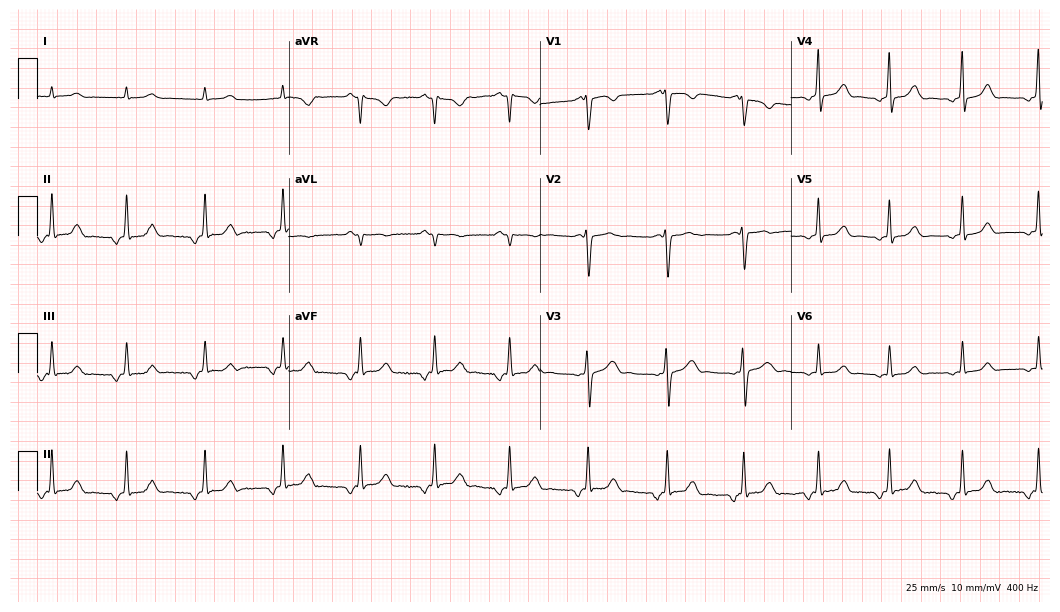
12-lead ECG from a female patient, 23 years old. Screened for six findings — first-degree AV block, right bundle branch block, left bundle branch block, sinus bradycardia, atrial fibrillation, sinus tachycardia — none is recorded. Findings outside these six are not listed.